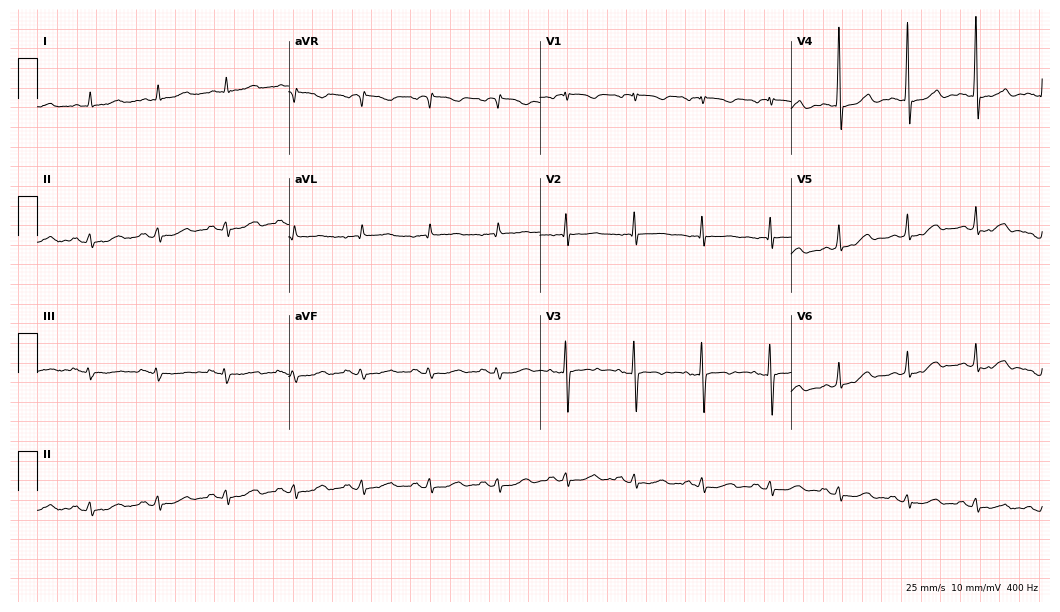
Standard 12-lead ECG recorded from a 79-year-old woman. None of these six findings is recorded: first-degree AV block, right bundle branch block, left bundle branch block, sinus bradycardia, atrial fibrillation, sinus tachycardia. Only these six findings were labelled.